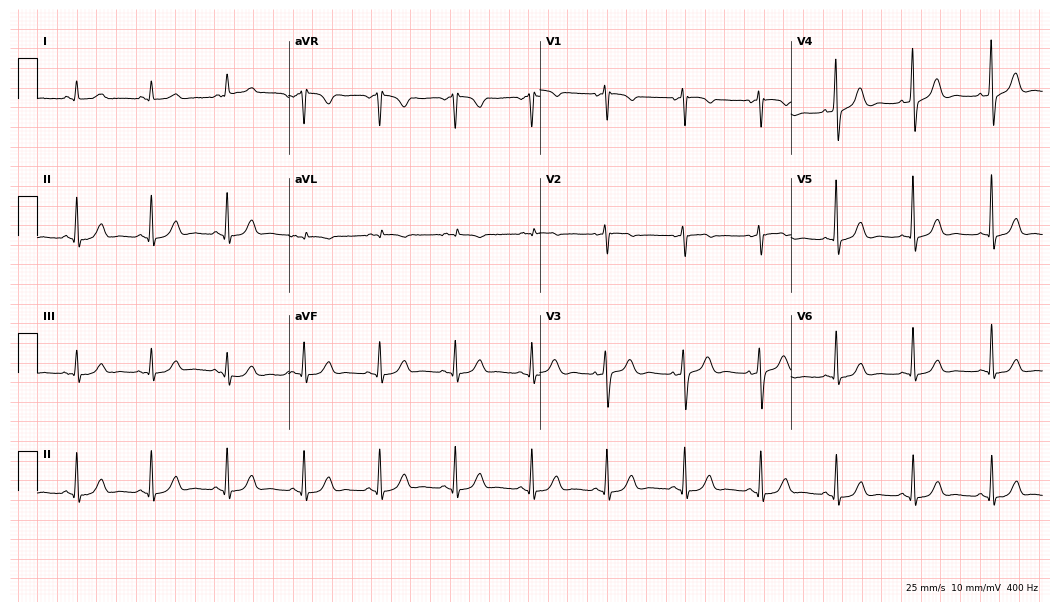
12-lead ECG from a 72-year-old female patient (10.2-second recording at 400 Hz). No first-degree AV block, right bundle branch block (RBBB), left bundle branch block (LBBB), sinus bradycardia, atrial fibrillation (AF) or sinus tachycardia recorded for this tracing. Other findings, if any, are not listed.